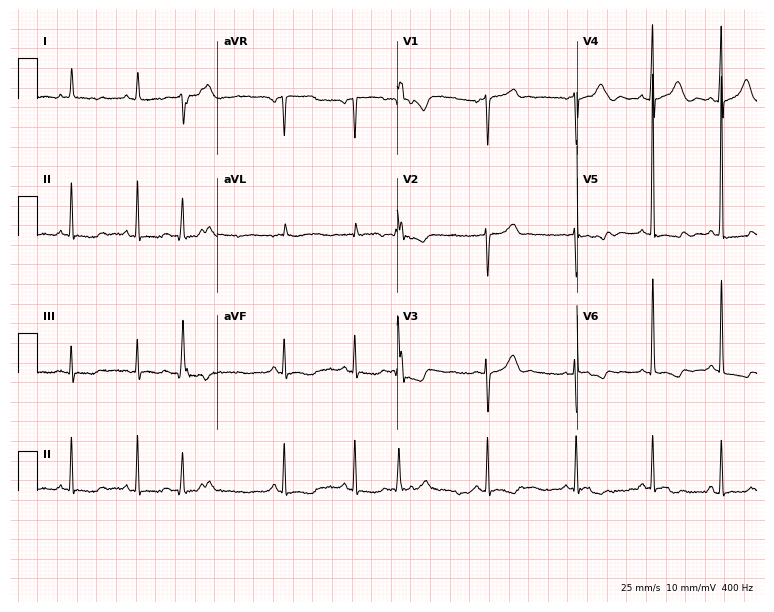
12-lead ECG from a woman, 78 years old (7.3-second recording at 400 Hz). No first-degree AV block, right bundle branch block, left bundle branch block, sinus bradycardia, atrial fibrillation or sinus tachycardia recorded for this tracing. Other findings, if any, are not listed.